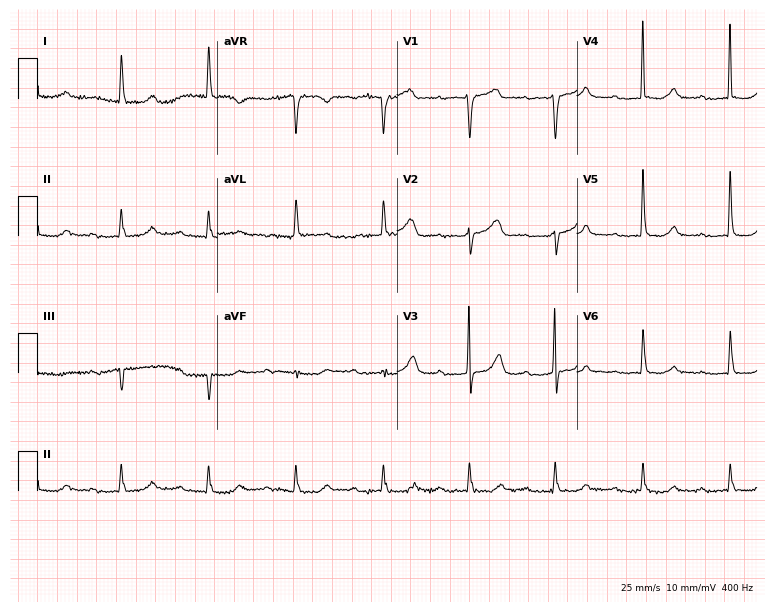
Resting 12-lead electrocardiogram (7.3-second recording at 400 Hz). Patient: a female, 79 years old. The tracing shows first-degree AV block.